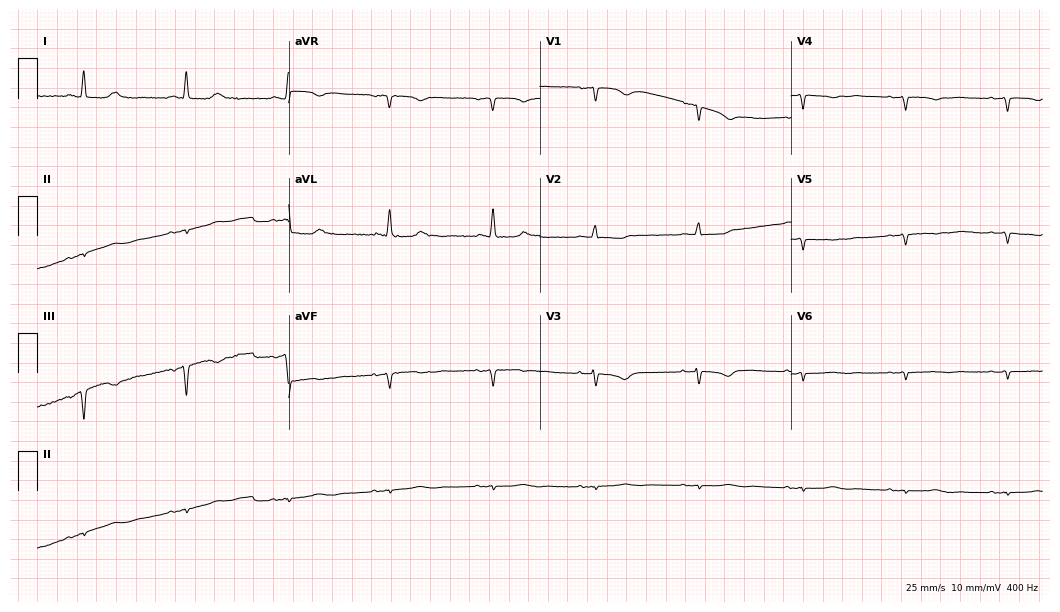
Resting 12-lead electrocardiogram (10.2-second recording at 400 Hz). Patient: a female, 75 years old. None of these six findings is recorded: first-degree AV block, right bundle branch block, left bundle branch block, sinus bradycardia, atrial fibrillation, sinus tachycardia.